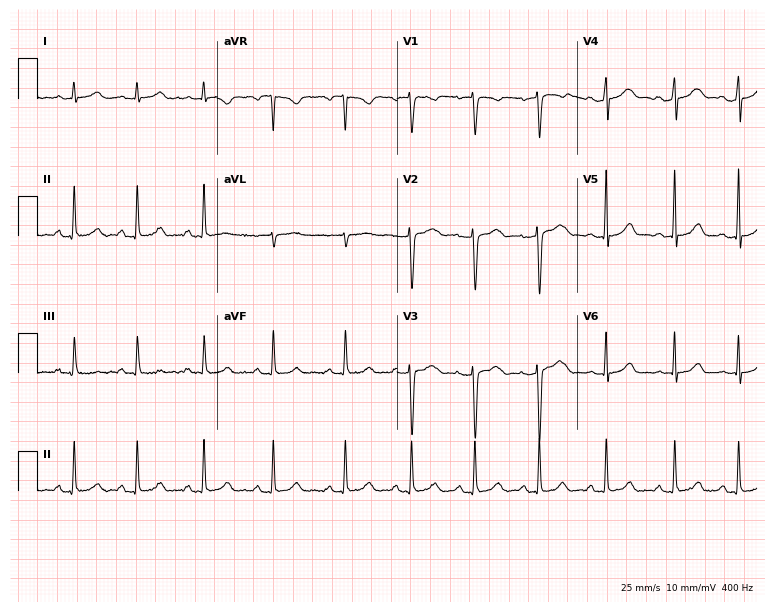
ECG (7.3-second recording at 400 Hz) — a 27-year-old female. Labelled as a normal ECG.